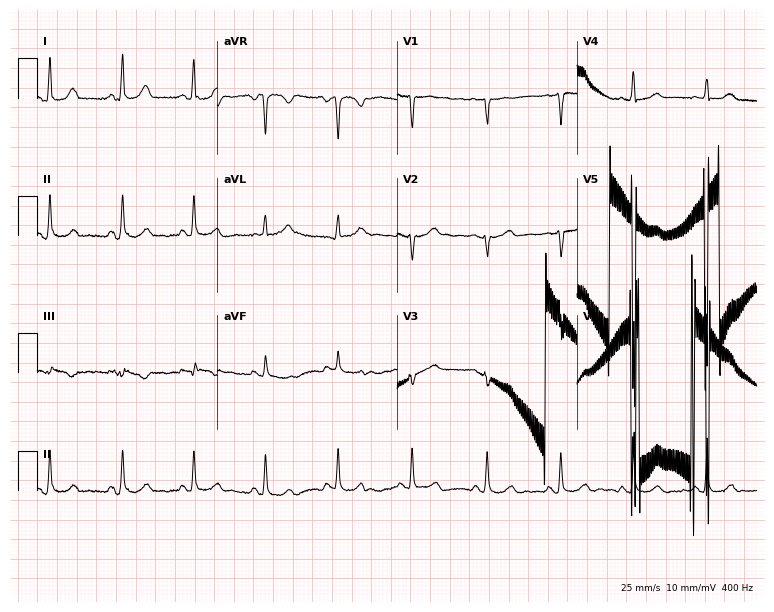
Standard 12-lead ECG recorded from a female patient, 47 years old. None of these six findings is recorded: first-degree AV block, right bundle branch block, left bundle branch block, sinus bradycardia, atrial fibrillation, sinus tachycardia.